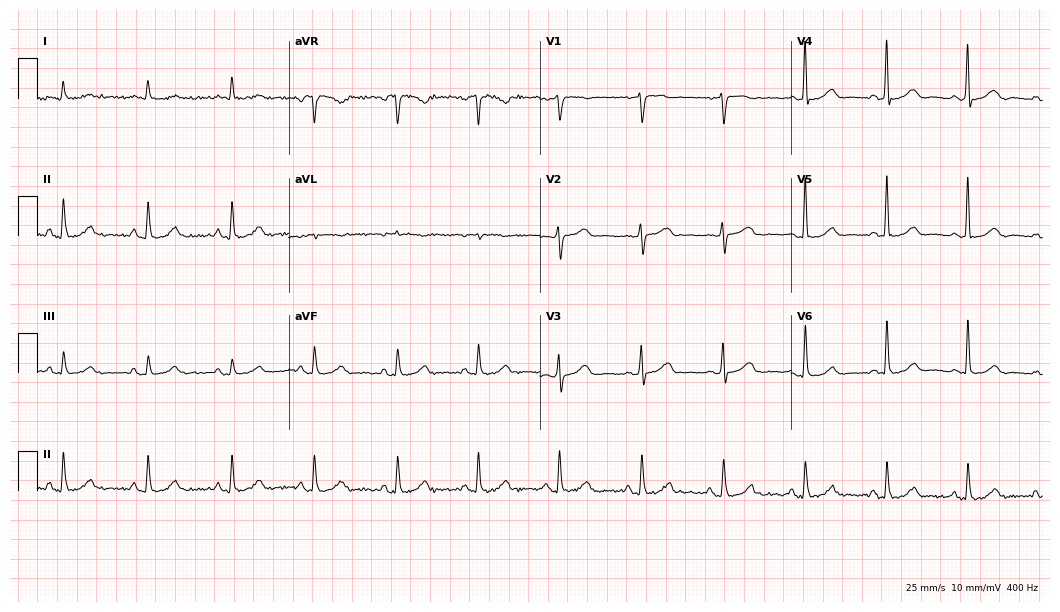
12-lead ECG from a 70-year-old woman. Recorded interpretation: within normal limits.